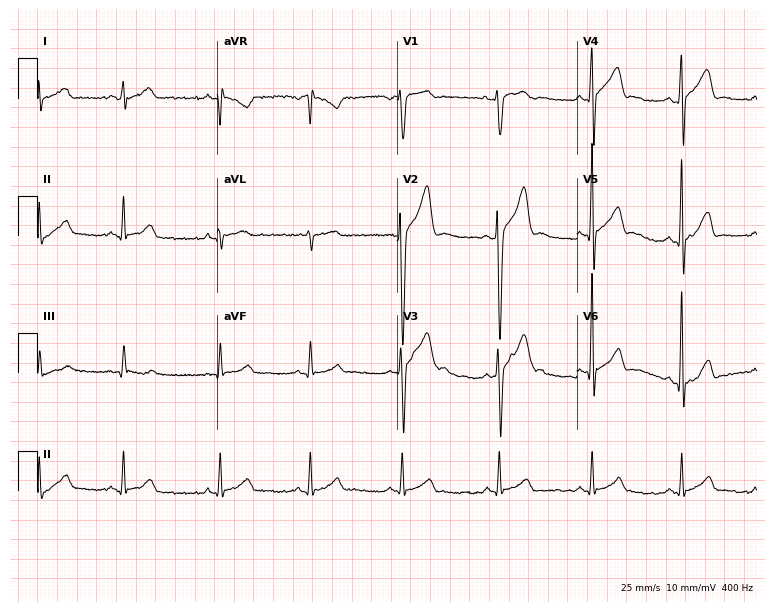
12-lead ECG from a 25-year-old man (7.3-second recording at 400 Hz). Recorded interpretation: within normal limits.